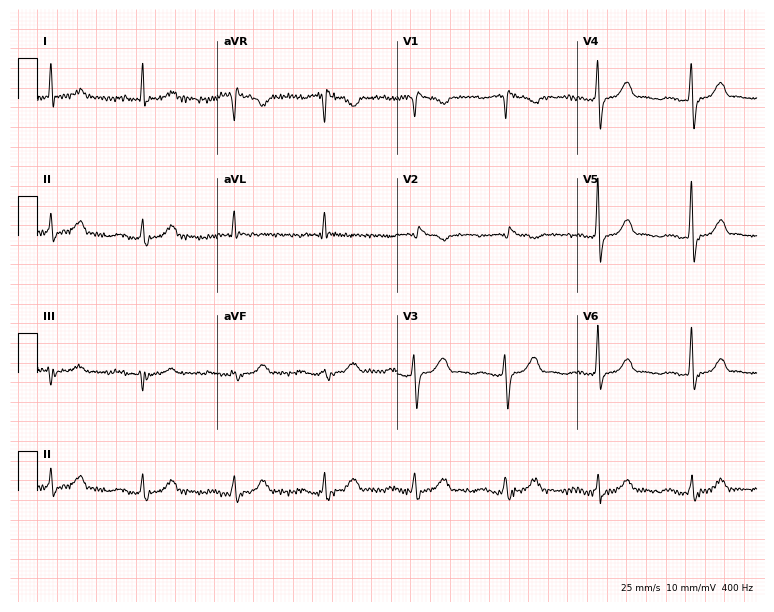
12-lead ECG from a 65-year-old woman. Screened for six findings — first-degree AV block, right bundle branch block, left bundle branch block, sinus bradycardia, atrial fibrillation, sinus tachycardia — none is recorded.